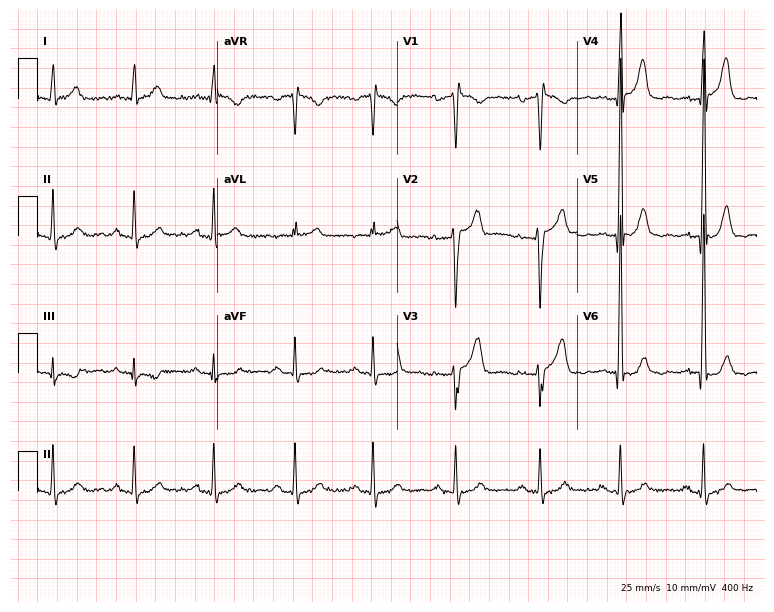
Standard 12-lead ECG recorded from a 73-year-old male patient (7.3-second recording at 400 Hz). None of these six findings is recorded: first-degree AV block, right bundle branch block (RBBB), left bundle branch block (LBBB), sinus bradycardia, atrial fibrillation (AF), sinus tachycardia. Only these six findings were labelled.